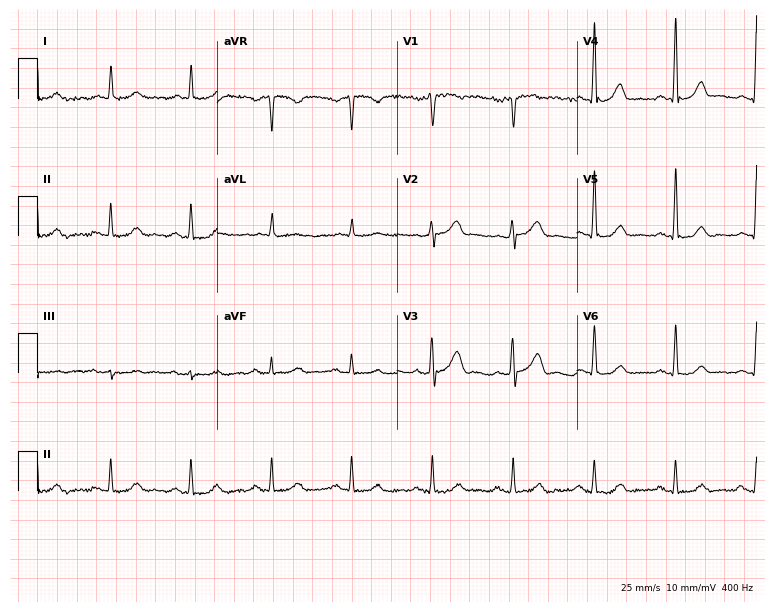
12-lead ECG (7.3-second recording at 400 Hz) from a 57-year-old man. Labelled as a normal ECG.